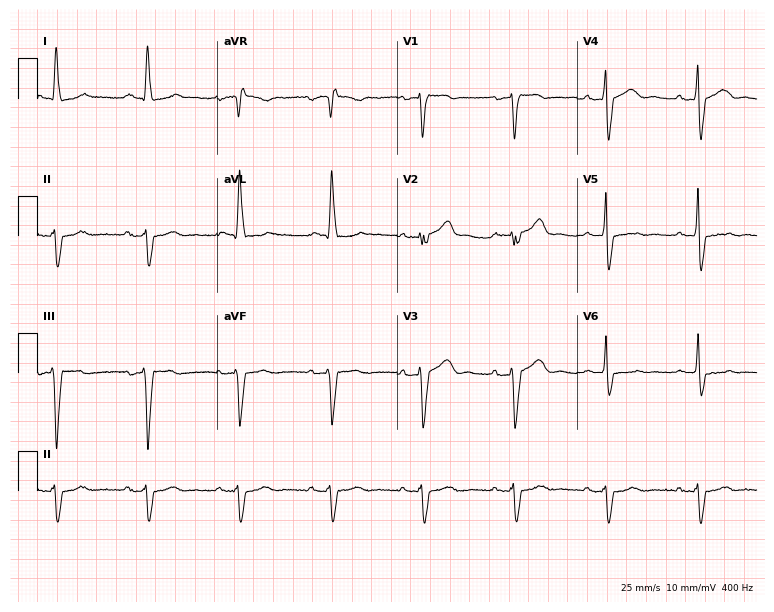
Standard 12-lead ECG recorded from a 73-year-old male patient. The tracing shows right bundle branch block.